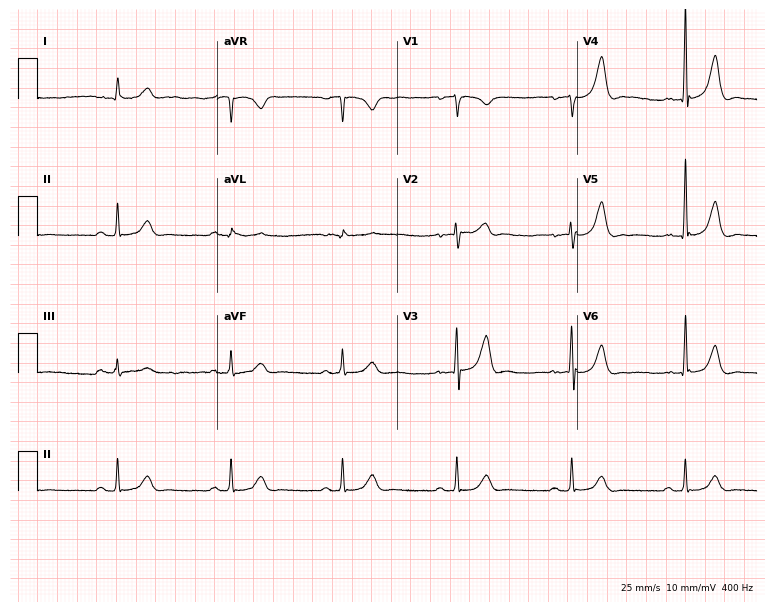
12-lead ECG from a male, 69 years old. Labelled as a normal ECG.